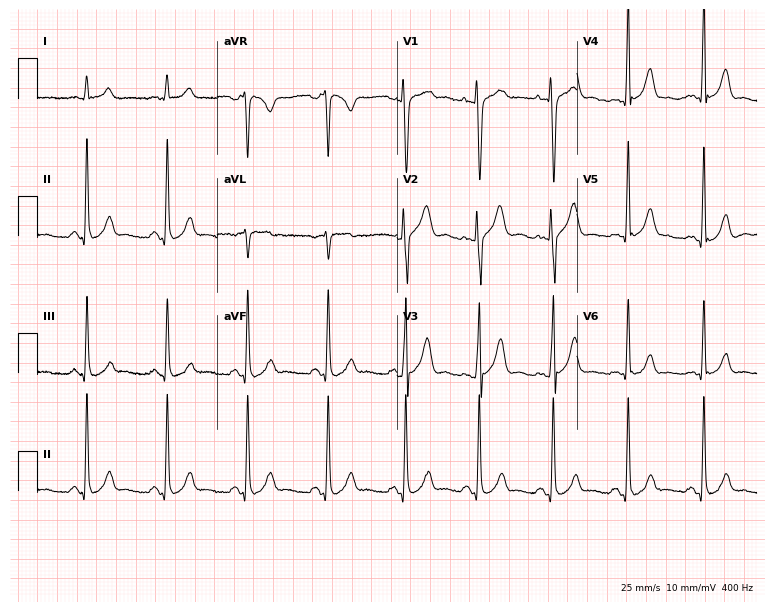
12-lead ECG from a male, 26 years old. Screened for six findings — first-degree AV block, right bundle branch block (RBBB), left bundle branch block (LBBB), sinus bradycardia, atrial fibrillation (AF), sinus tachycardia — none is recorded.